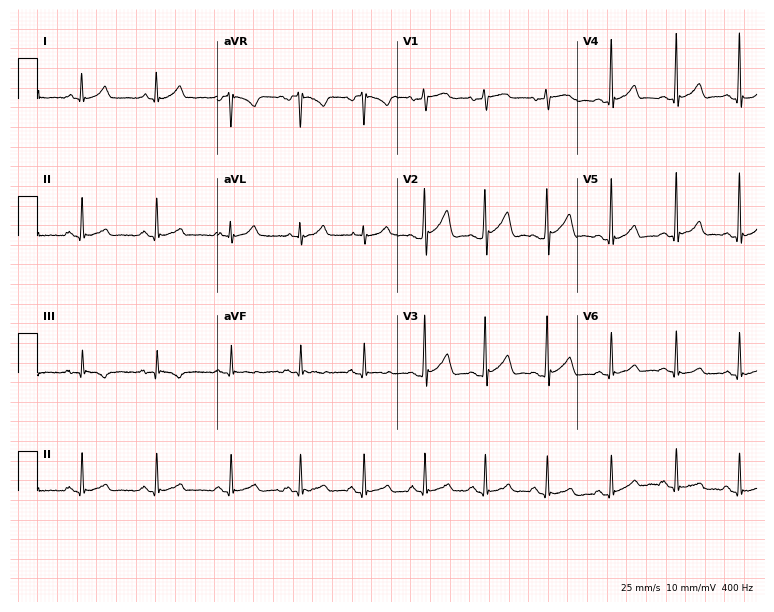
ECG (7.3-second recording at 400 Hz) — a male patient, 23 years old. Labelled as a normal ECG.